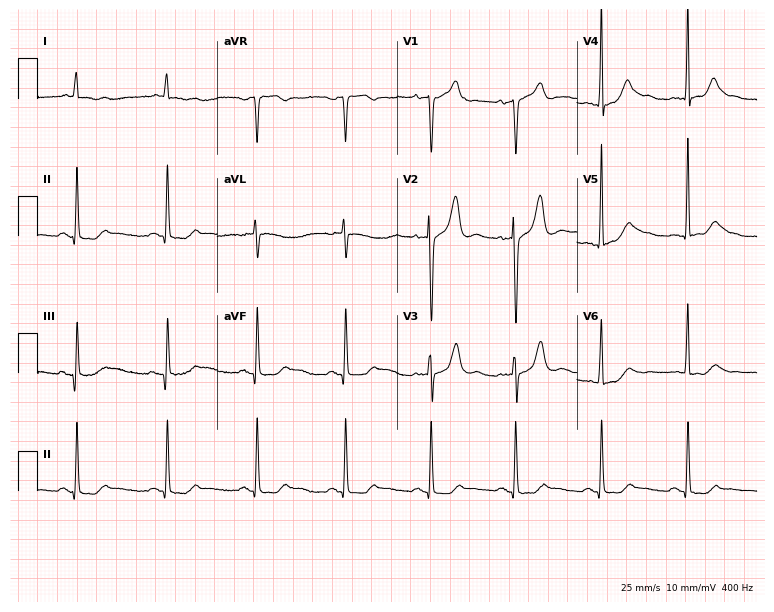
12-lead ECG from a 77-year-old female patient (7.3-second recording at 400 Hz). No first-degree AV block, right bundle branch block (RBBB), left bundle branch block (LBBB), sinus bradycardia, atrial fibrillation (AF) or sinus tachycardia recorded for this tracing.